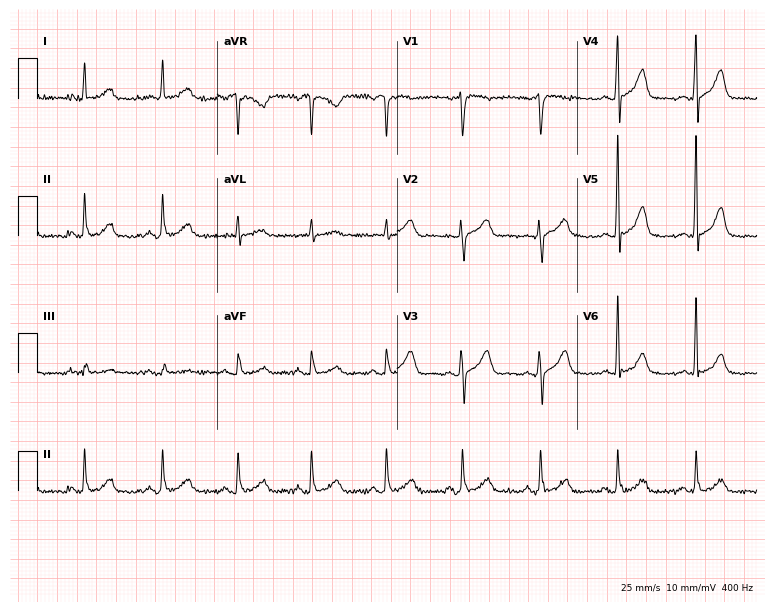
12-lead ECG (7.3-second recording at 400 Hz) from a 62-year-old female. Screened for six findings — first-degree AV block, right bundle branch block, left bundle branch block, sinus bradycardia, atrial fibrillation, sinus tachycardia — none is recorded. Findings outside these six are not listed.